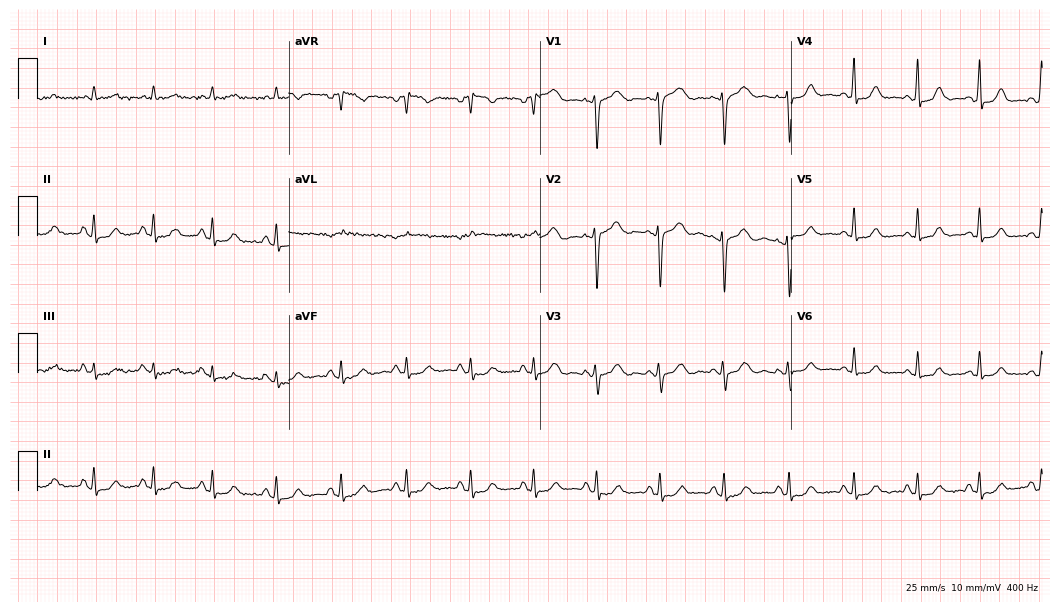
Resting 12-lead electrocardiogram (10.2-second recording at 400 Hz). Patient: a female, 46 years old. Read as a normal ECG.